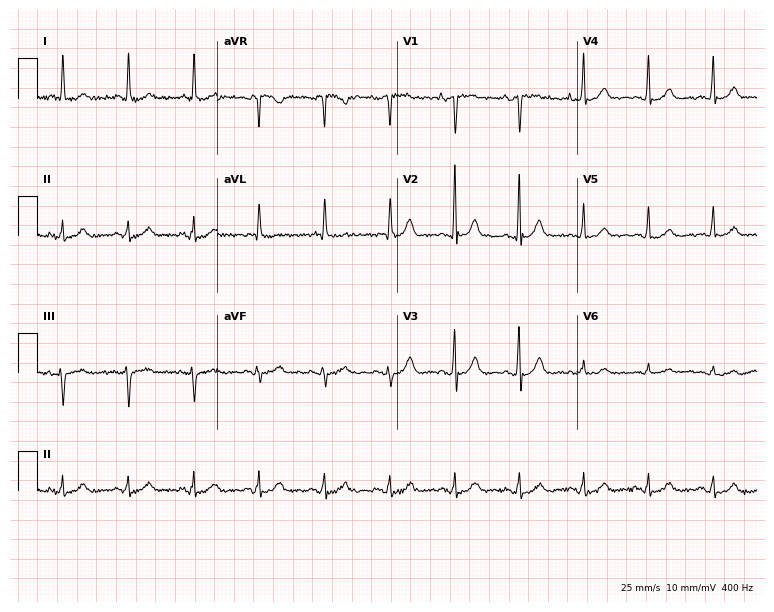
Resting 12-lead electrocardiogram. Patient: a male, 80 years old. Read as a normal ECG.